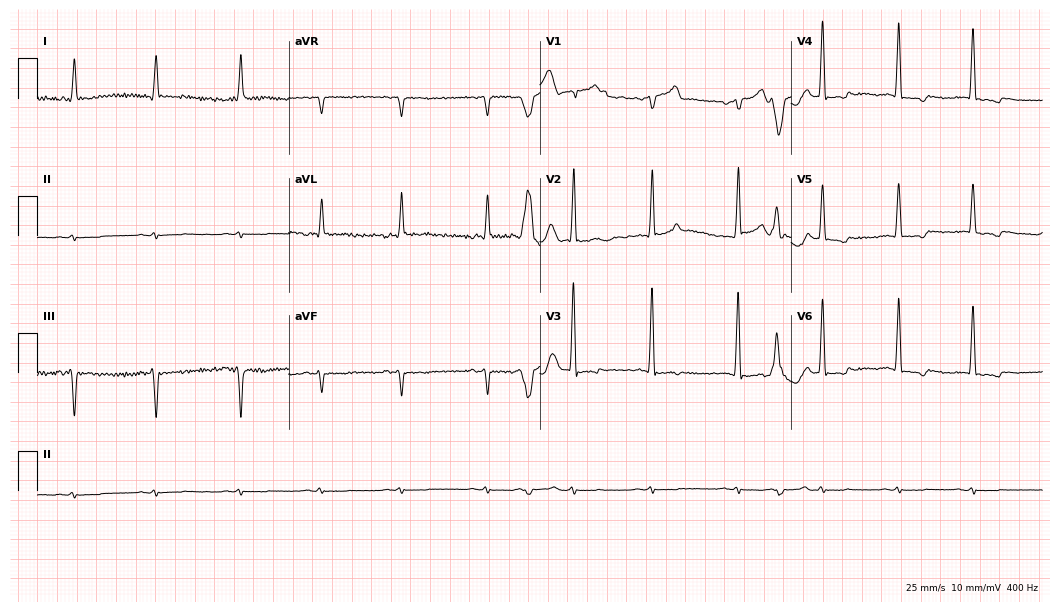
12-lead ECG from an 85-year-old male. No first-degree AV block, right bundle branch block (RBBB), left bundle branch block (LBBB), sinus bradycardia, atrial fibrillation (AF) or sinus tachycardia recorded for this tracing. Findings outside these six are not listed.